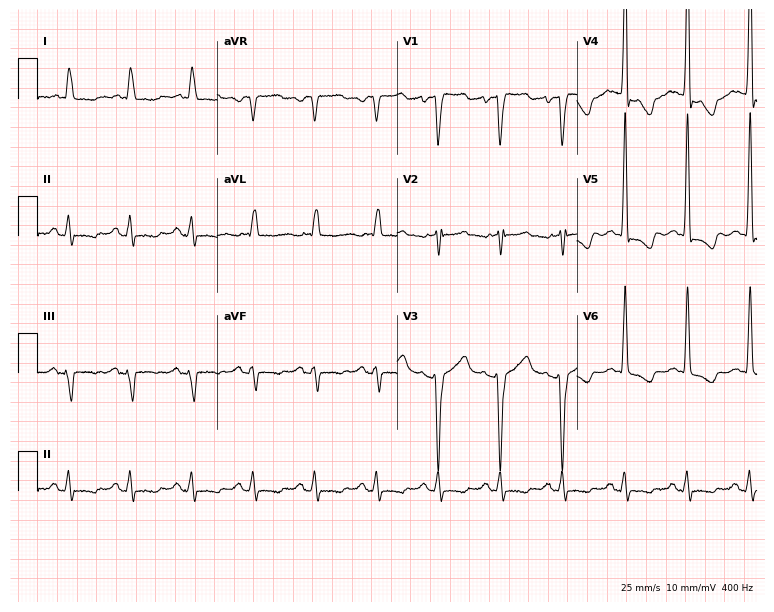
12-lead ECG (7.3-second recording at 400 Hz) from a female, 82 years old. Screened for six findings — first-degree AV block, right bundle branch block (RBBB), left bundle branch block (LBBB), sinus bradycardia, atrial fibrillation (AF), sinus tachycardia — none is recorded.